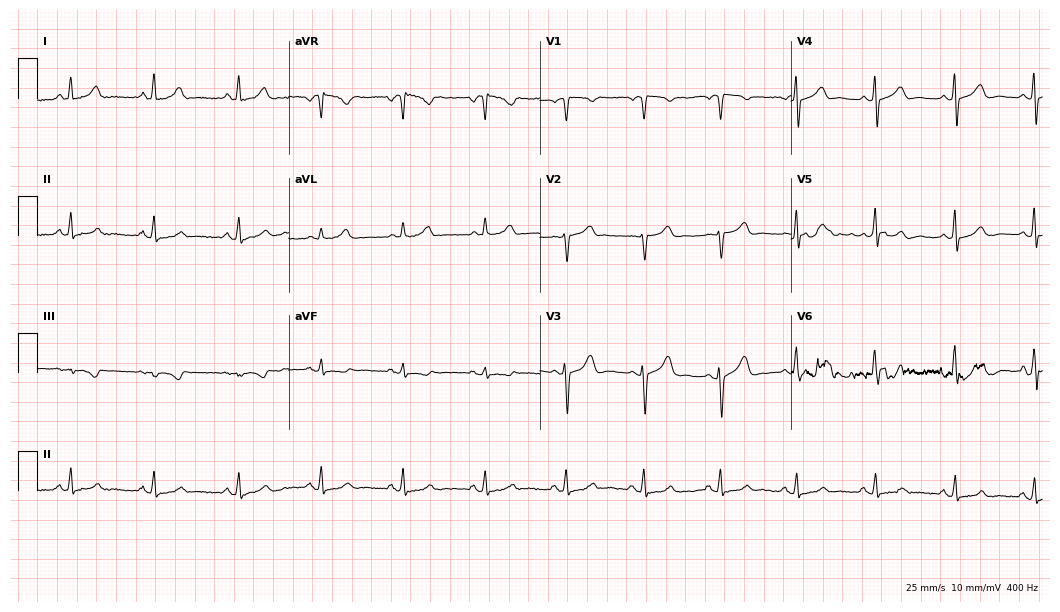
Electrocardiogram, a 46-year-old woman. Overall reading on record: normal ECG.